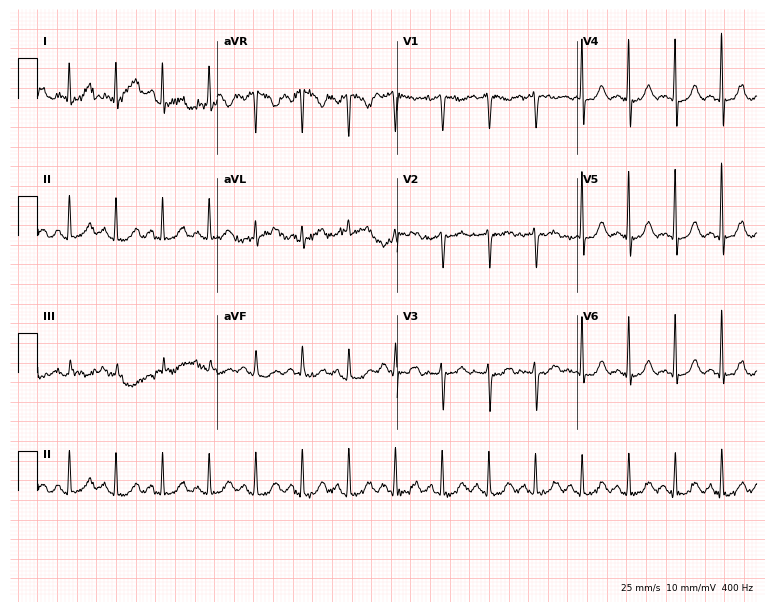
Standard 12-lead ECG recorded from a 66-year-old woman. The tracing shows sinus tachycardia (a sinus rate of 100 beats per minute or more).